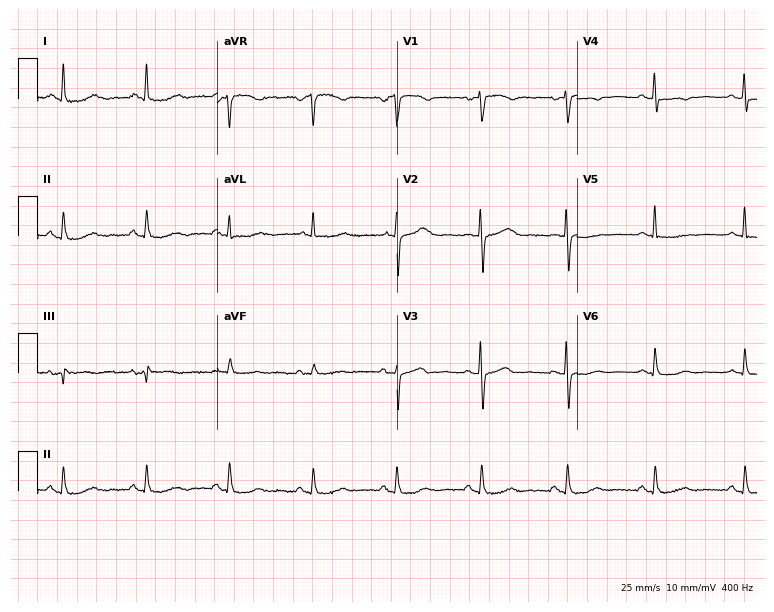
12-lead ECG from a 63-year-old female (7.3-second recording at 400 Hz). No first-degree AV block, right bundle branch block, left bundle branch block, sinus bradycardia, atrial fibrillation or sinus tachycardia recorded for this tracing.